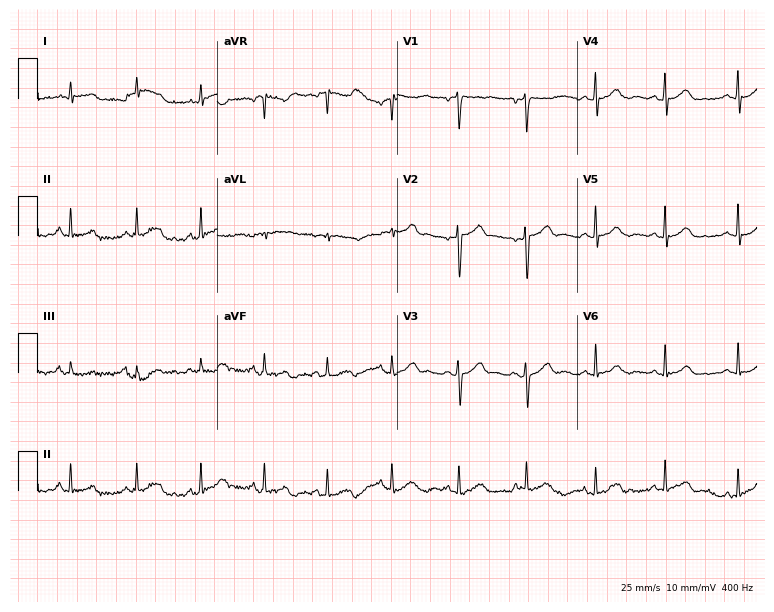
Electrocardiogram (7.3-second recording at 400 Hz), a 45-year-old male patient. Overall reading on record: normal ECG.